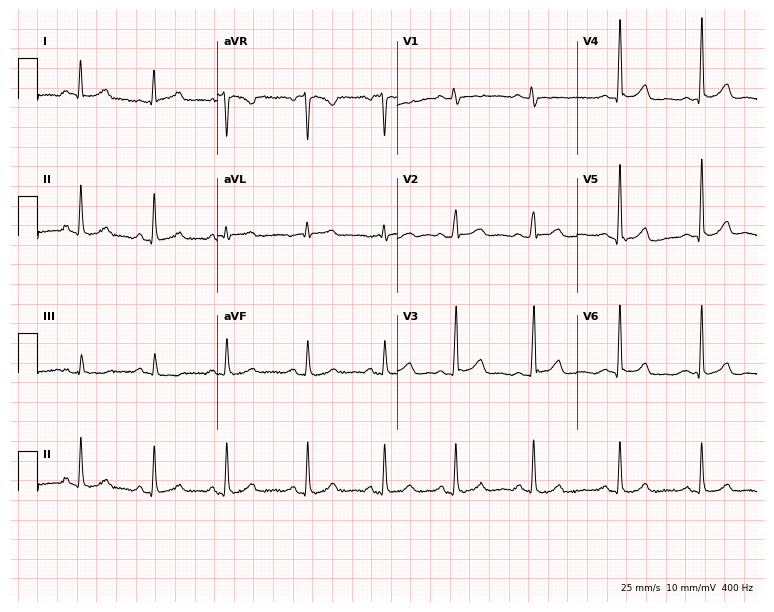
12-lead ECG from a female patient, 40 years old. Labelled as a normal ECG.